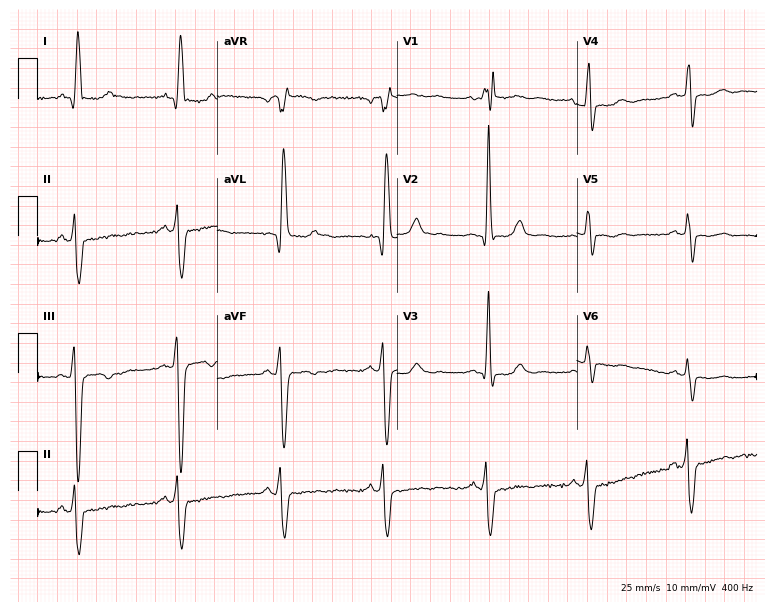
12-lead ECG from a woman, 83 years old. Findings include right bundle branch block (RBBB).